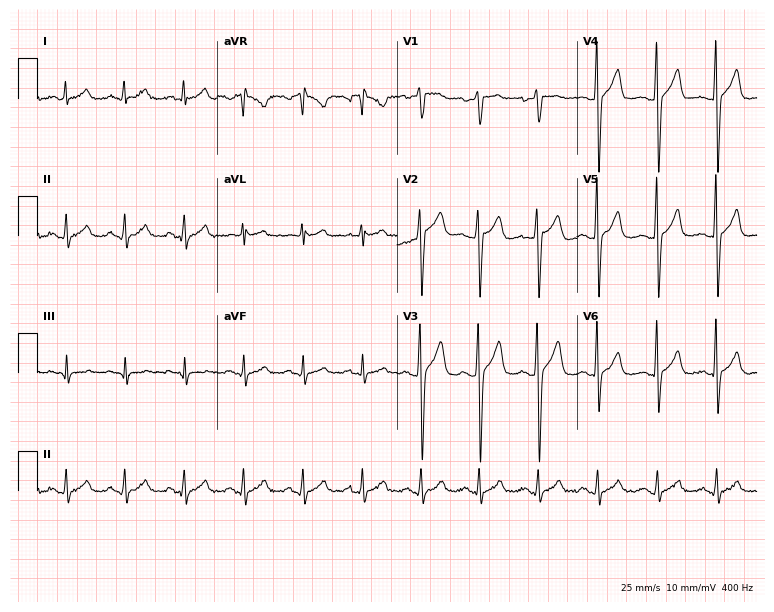
12-lead ECG from a male, 39 years old. Recorded interpretation: within normal limits.